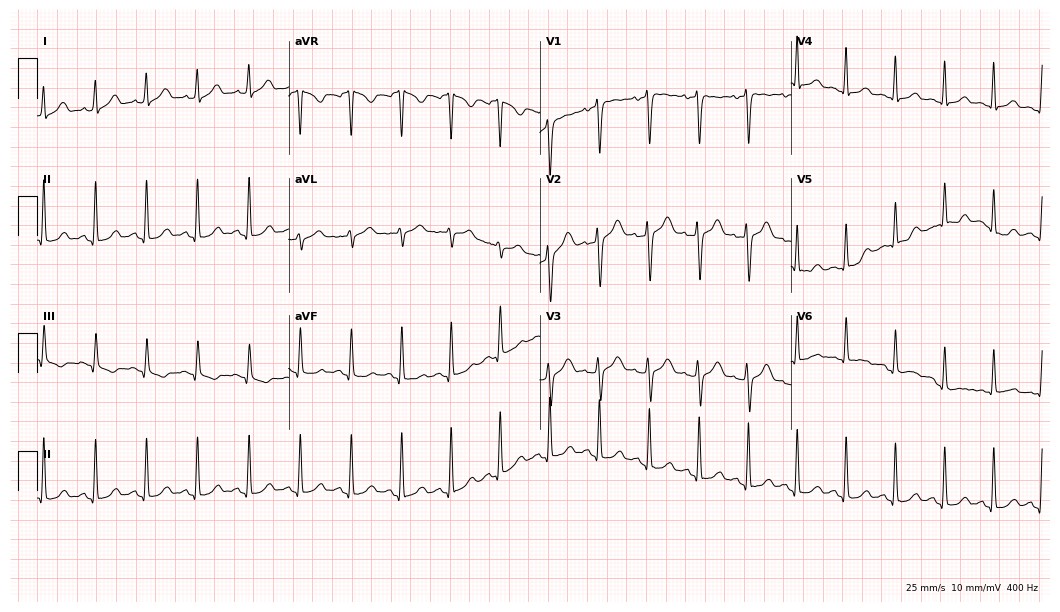
ECG (10.2-second recording at 400 Hz) — a 30-year-old female. Findings include sinus tachycardia (a sinus rate of 100 beats per minute or more).